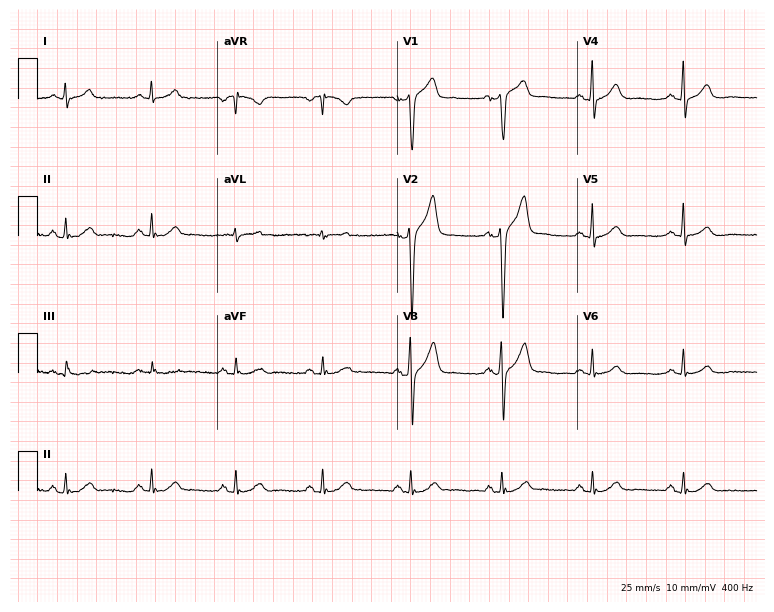
Standard 12-lead ECG recorded from a male, 62 years old. None of these six findings is recorded: first-degree AV block, right bundle branch block (RBBB), left bundle branch block (LBBB), sinus bradycardia, atrial fibrillation (AF), sinus tachycardia.